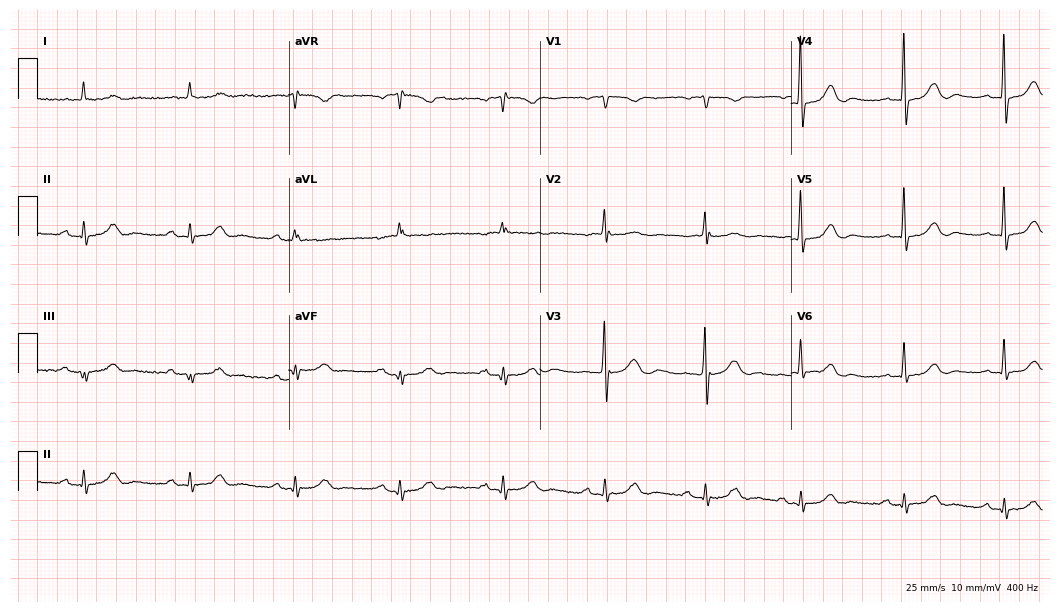
Standard 12-lead ECG recorded from a female, 82 years old (10.2-second recording at 400 Hz). Read as a normal ECG.